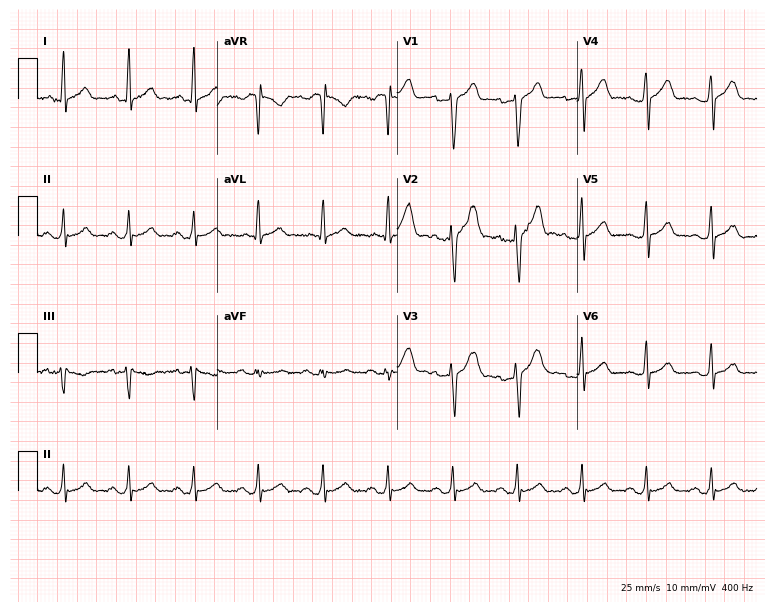
12-lead ECG from a 35-year-old male patient (7.3-second recording at 400 Hz). Recorded interpretation: within normal limits.